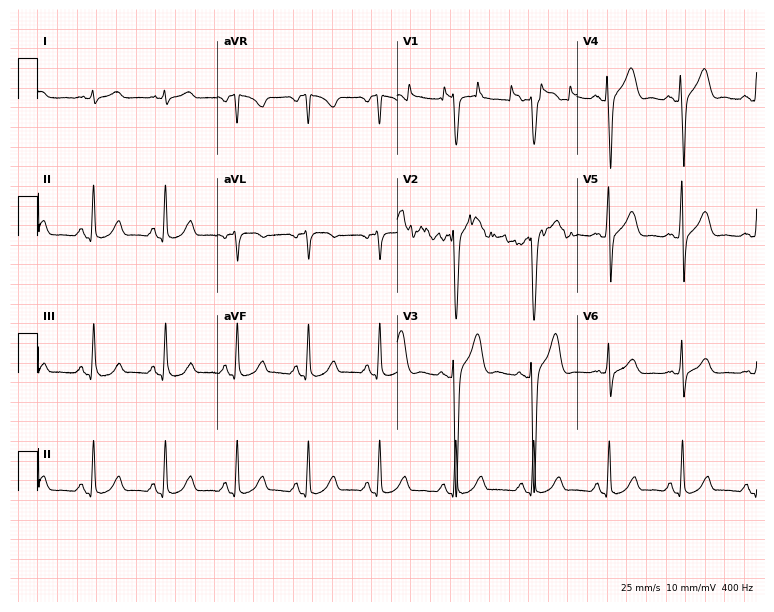
12-lead ECG from a man, 47 years old. No first-degree AV block, right bundle branch block, left bundle branch block, sinus bradycardia, atrial fibrillation or sinus tachycardia recorded for this tracing.